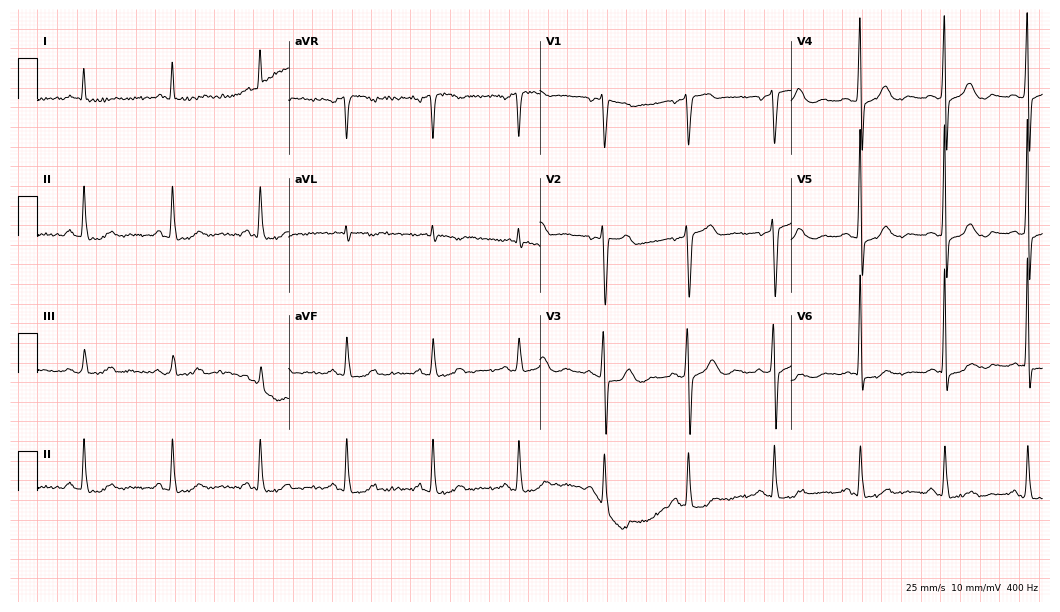
Standard 12-lead ECG recorded from a 69-year-old male patient. None of these six findings is recorded: first-degree AV block, right bundle branch block (RBBB), left bundle branch block (LBBB), sinus bradycardia, atrial fibrillation (AF), sinus tachycardia.